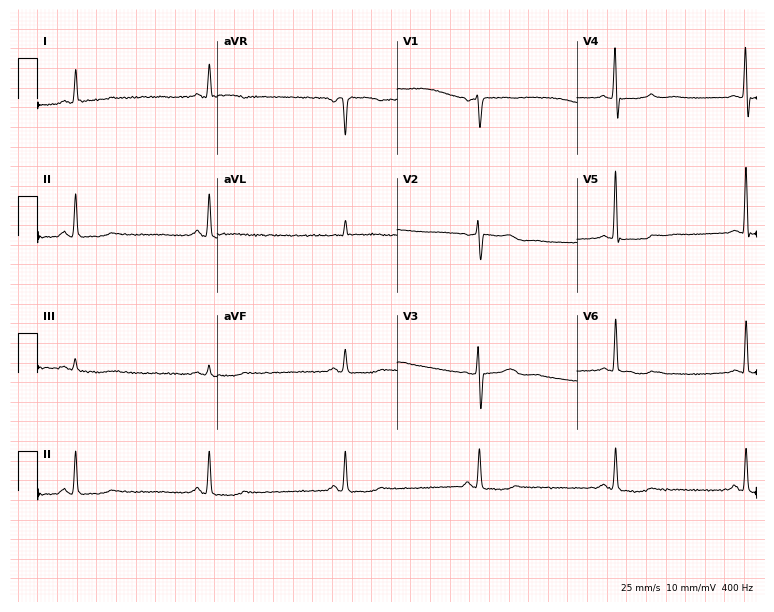
12-lead ECG from a 58-year-old woman. Findings include sinus bradycardia (a sinus rate of 50 beats per minute or less).